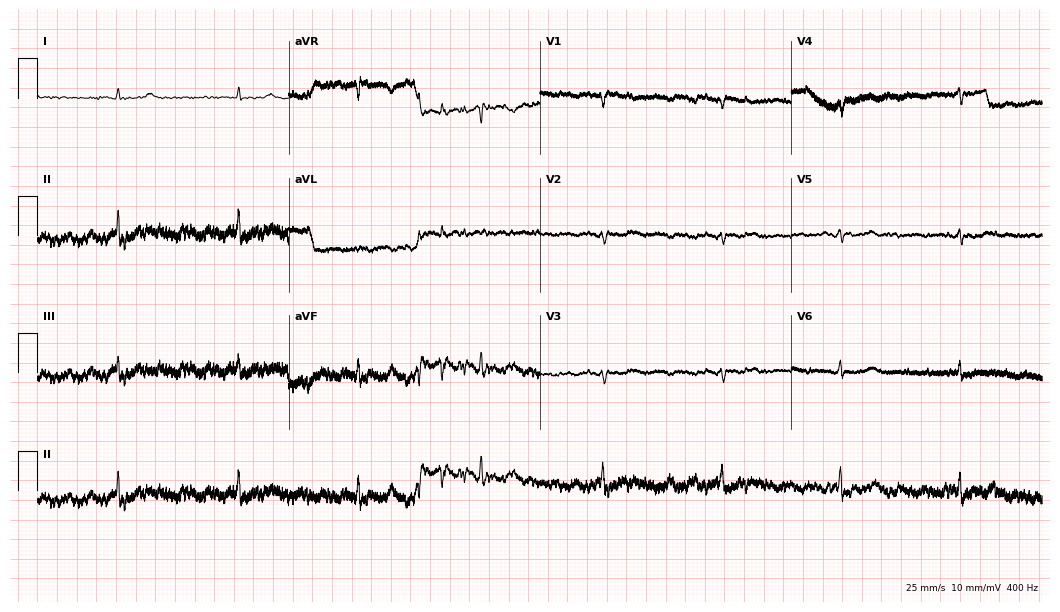
12-lead ECG from a 78-year-old woman. Screened for six findings — first-degree AV block, right bundle branch block, left bundle branch block, sinus bradycardia, atrial fibrillation, sinus tachycardia — none is recorded. Only these six findings were labelled.